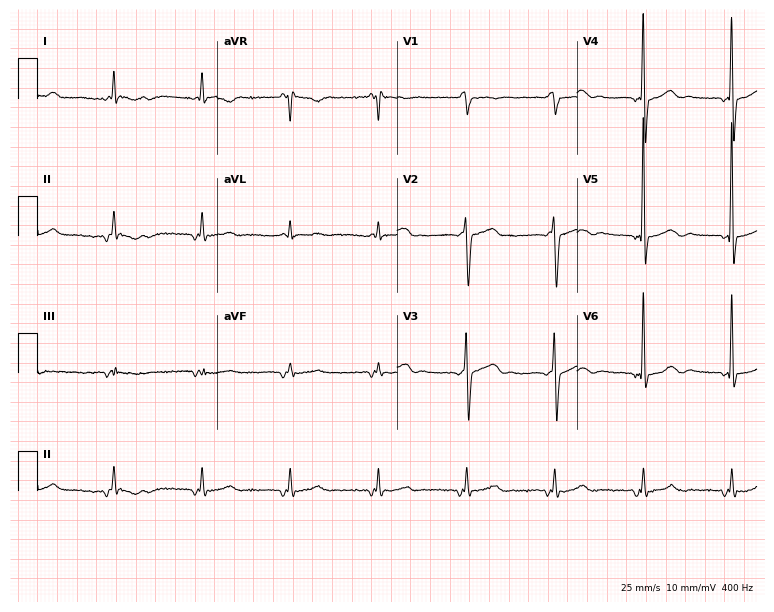
12-lead ECG from a 74-year-old man. Screened for six findings — first-degree AV block, right bundle branch block, left bundle branch block, sinus bradycardia, atrial fibrillation, sinus tachycardia — none is recorded. Findings outside these six are not listed.